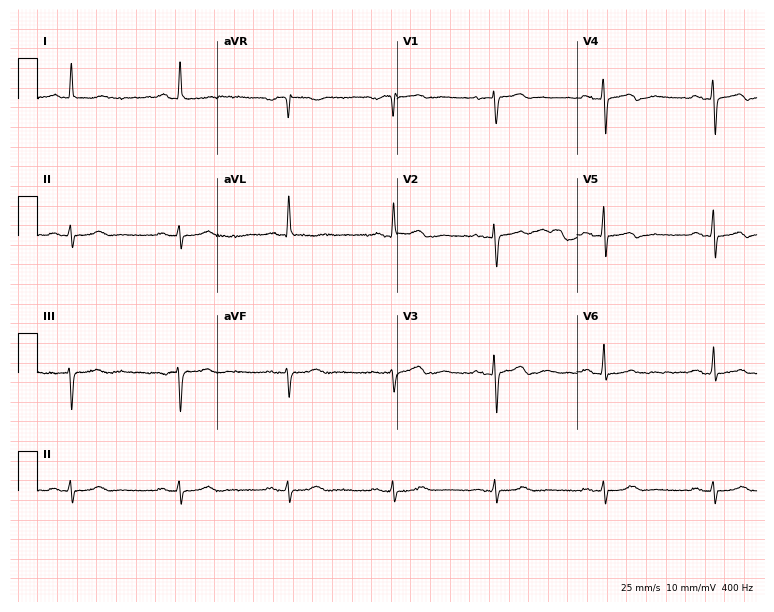
12-lead ECG from a 72-year-old man. No first-degree AV block, right bundle branch block, left bundle branch block, sinus bradycardia, atrial fibrillation or sinus tachycardia recorded for this tracing. Only these six findings were labelled.